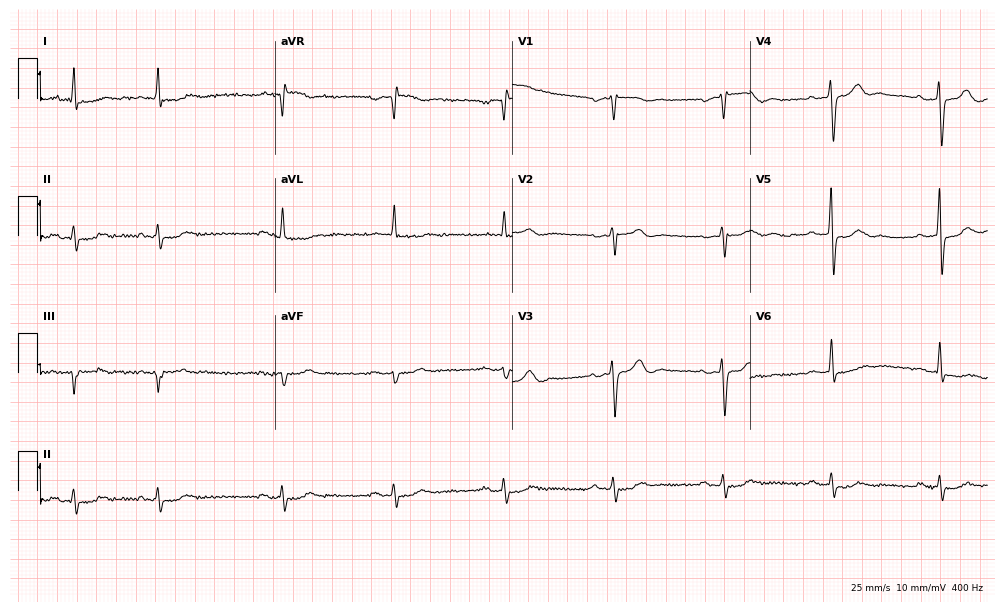
Resting 12-lead electrocardiogram. Patient: a man, 82 years old. None of these six findings is recorded: first-degree AV block, right bundle branch block, left bundle branch block, sinus bradycardia, atrial fibrillation, sinus tachycardia.